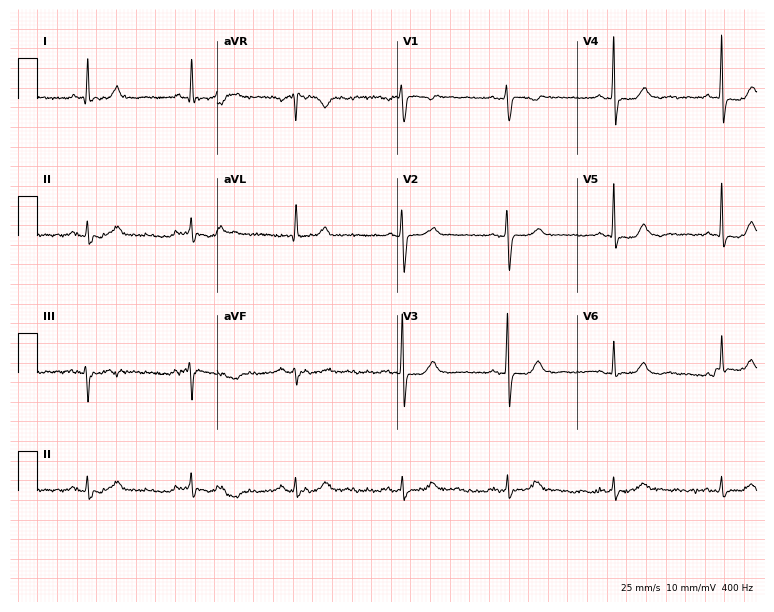
Electrocardiogram (7.3-second recording at 400 Hz), a 69-year-old female patient. Of the six screened findings (first-degree AV block, right bundle branch block, left bundle branch block, sinus bradycardia, atrial fibrillation, sinus tachycardia), none is recorded. Findings outside these six are not listed.